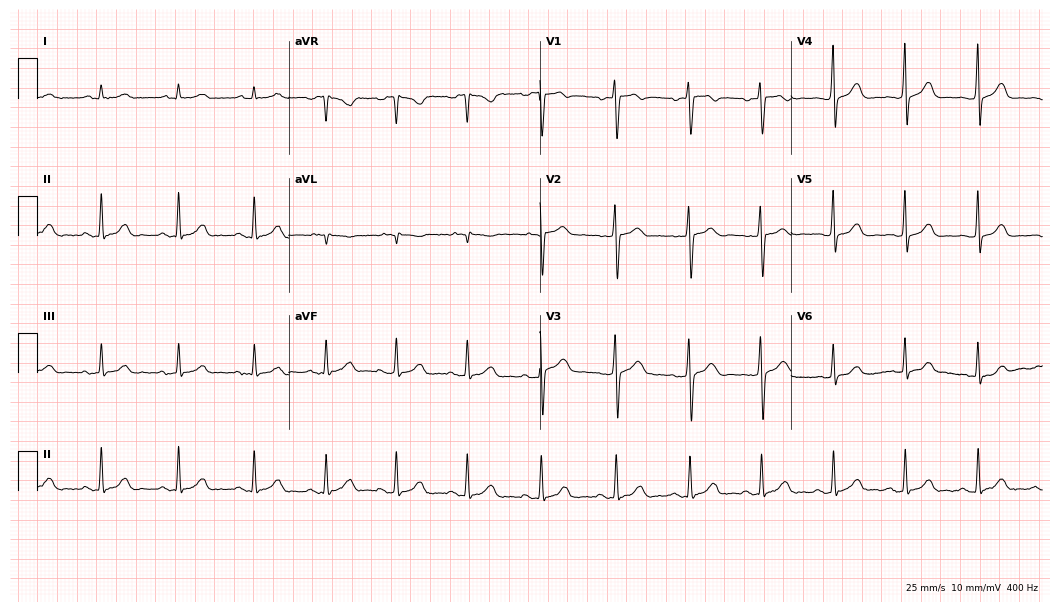
ECG (10.2-second recording at 400 Hz) — a man, 35 years old. Labelled as a normal ECG.